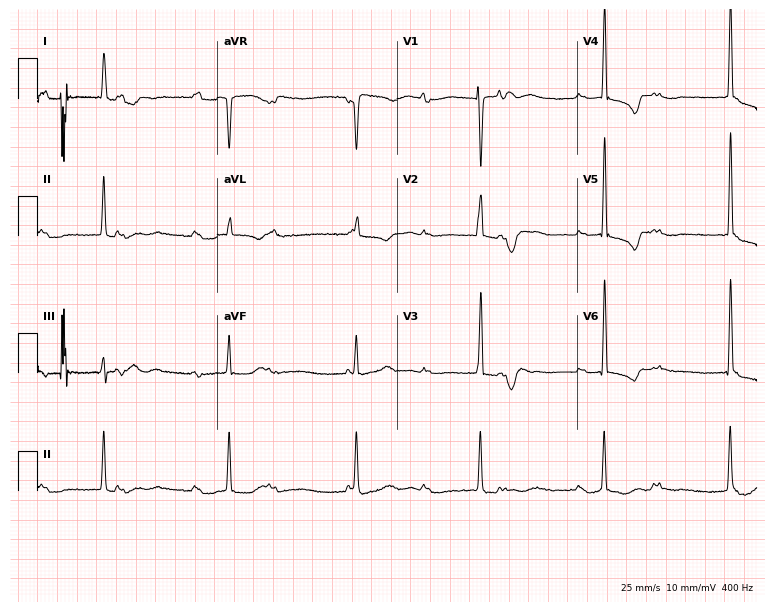
Electrocardiogram (7.3-second recording at 400 Hz), a female, 73 years old. Of the six screened findings (first-degree AV block, right bundle branch block (RBBB), left bundle branch block (LBBB), sinus bradycardia, atrial fibrillation (AF), sinus tachycardia), none is recorded.